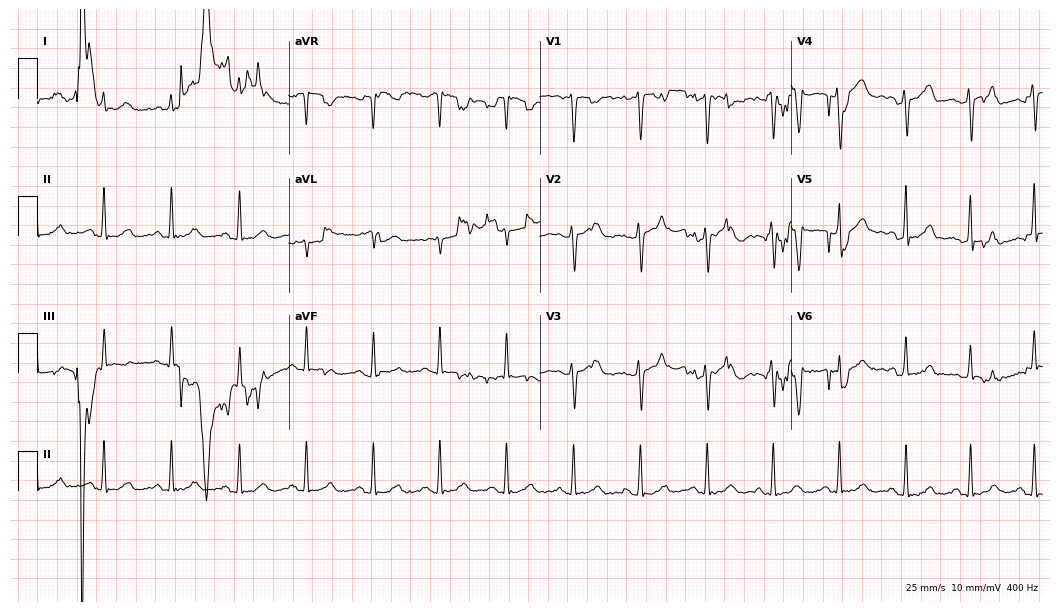
ECG — a female, 37 years old. Screened for six findings — first-degree AV block, right bundle branch block (RBBB), left bundle branch block (LBBB), sinus bradycardia, atrial fibrillation (AF), sinus tachycardia — none is recorded. Findings outside these six are not listed.